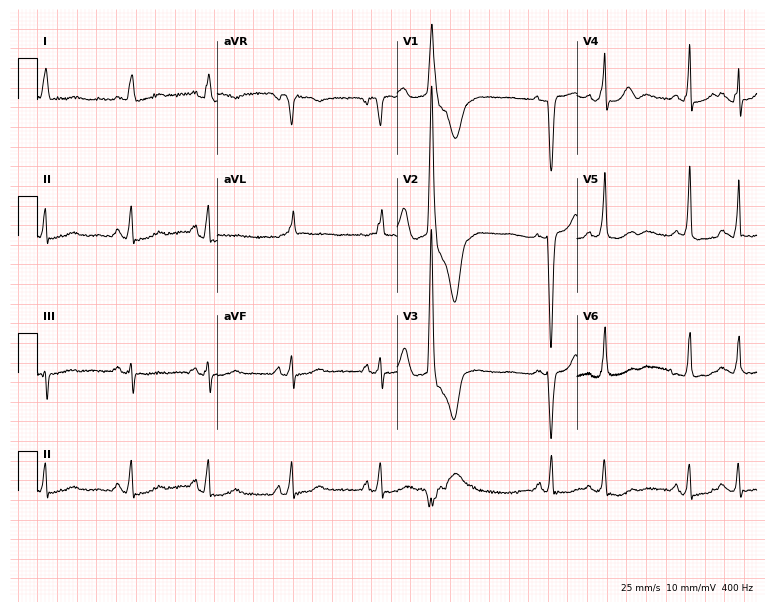
Electrocardiogram (7.3-second recording at 400 Hz), a 73-year-old woman. Of the six screened findings (first-degree AV block, right bundle branch block, left bundle branch block, sinus bradycardia, atrial fibrillation, sinus tachycardia), none is recorded. Other findings, if any, are not listed.